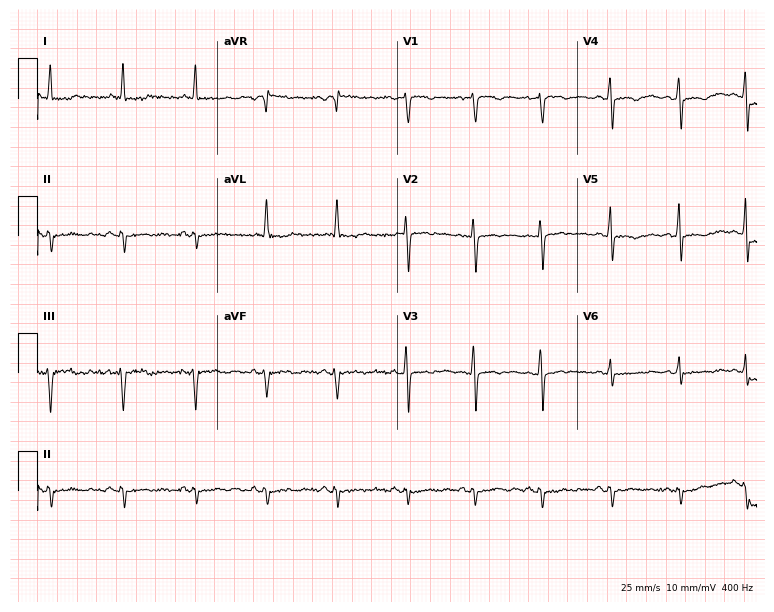
ECG — a female, 51 years old. Screened for six findings — first-degree AV block, right bundle branch block (RBBB), left bundle branch block (LBBB), sinus bradycardia, atrial fibrillation (AF), sinus tachycardia — none is recorded. Findings outside these six are not listed.